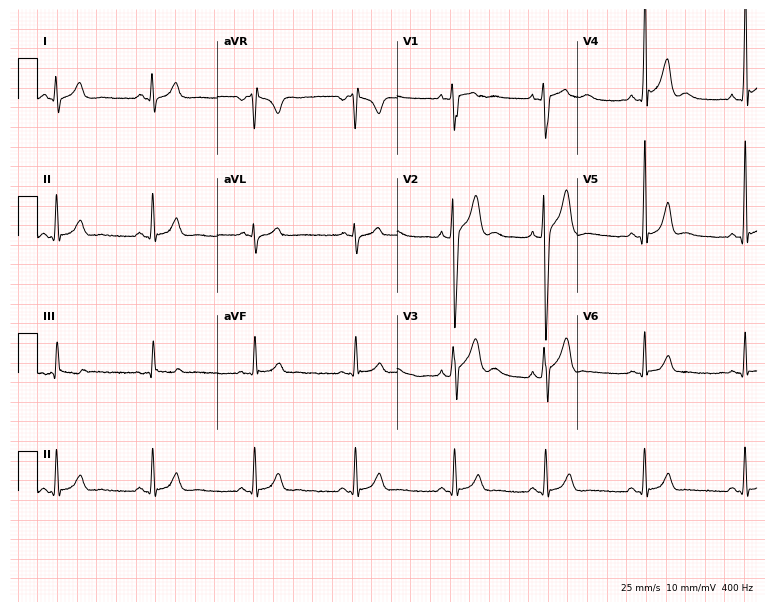
ECG (7.3-second recording at 400 Hz) — a man, 21 years old. Screened for six findings — first-degree AV block, right bundle branch block, left bundle branch block, sinus bradycardia, atrial fibrillation, sinus tachycardia — none is recorded. Other findings, if any, are not listed.